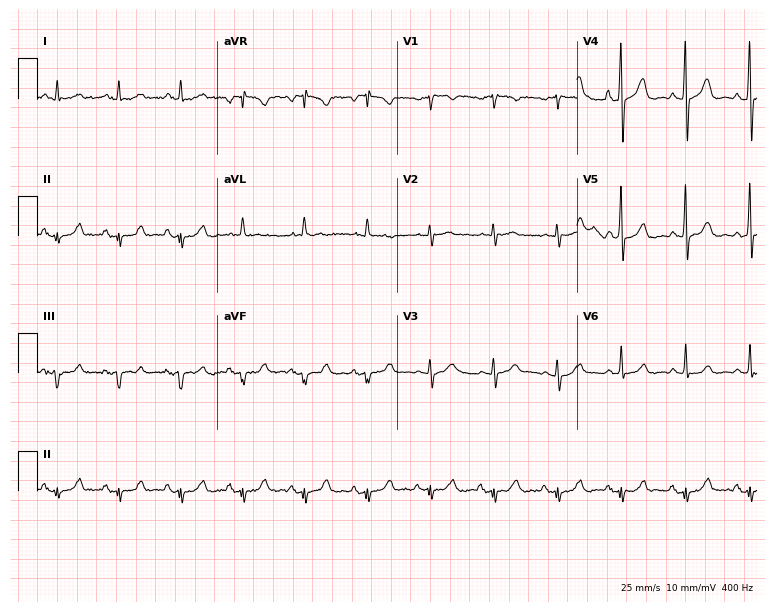
Resting 12-lead electrocardiogram. Patient: a 57-year-old man. None of these six findings is recorded: first-degree AV block, right bundle branch block, left bundle branch block, sinus bradycardia, atrial fibrillation, sinus tachycardia. Findings outside these six are not listed.